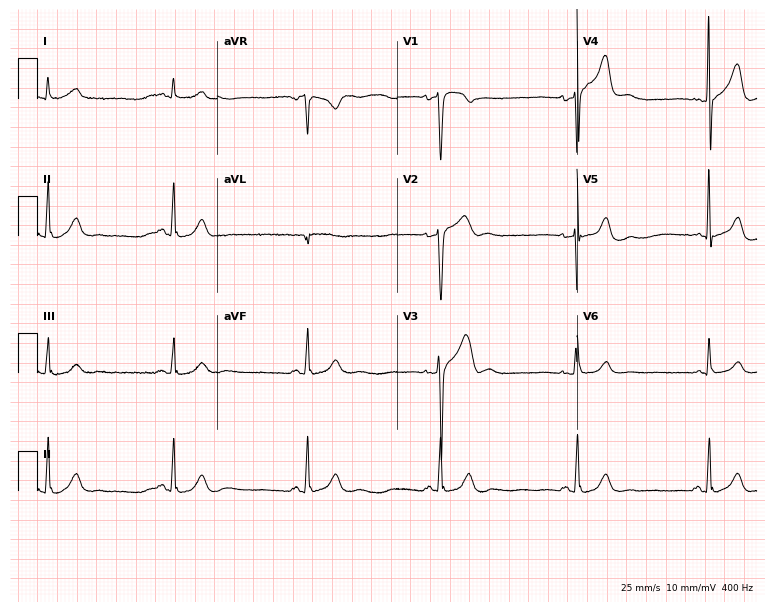
Standard 12-lead ECG recorded from a 49-year-old man. None of these six findings is recorded: first-degree AV block, right bundle branch block, left bundle branch block, sinus bradycardia, atrial fibrillation, sinus tachycardia.